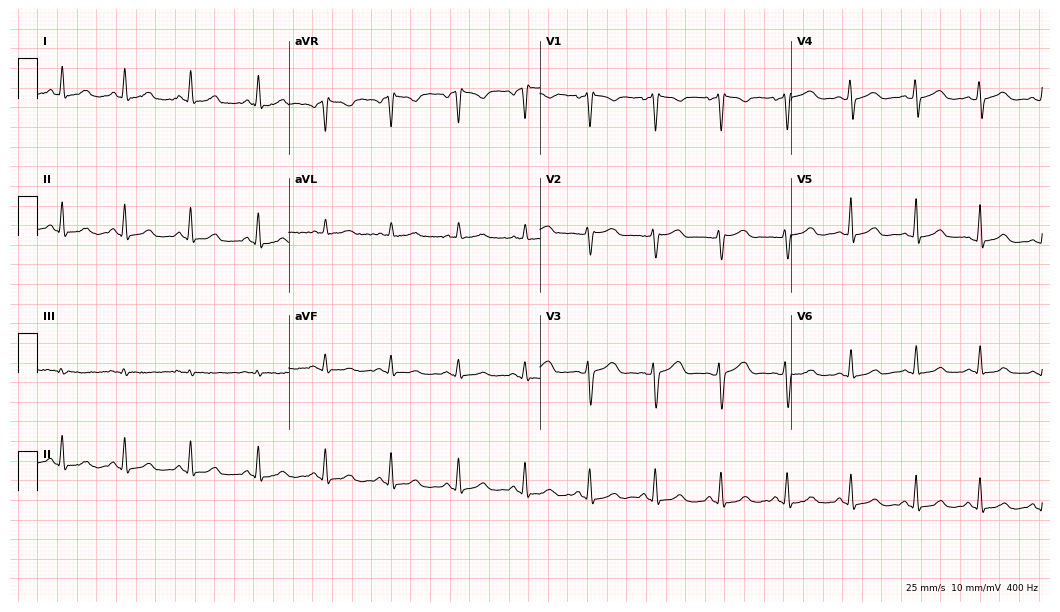
12-lead ECG from a woman, 42 years old. No first-degree AV block, right bundle branch block, left bundle branch block, sinus bradycardia, atrial fibrillation or sinus tachycardia recorded for this tracing. Other findings, if any, are not listed.